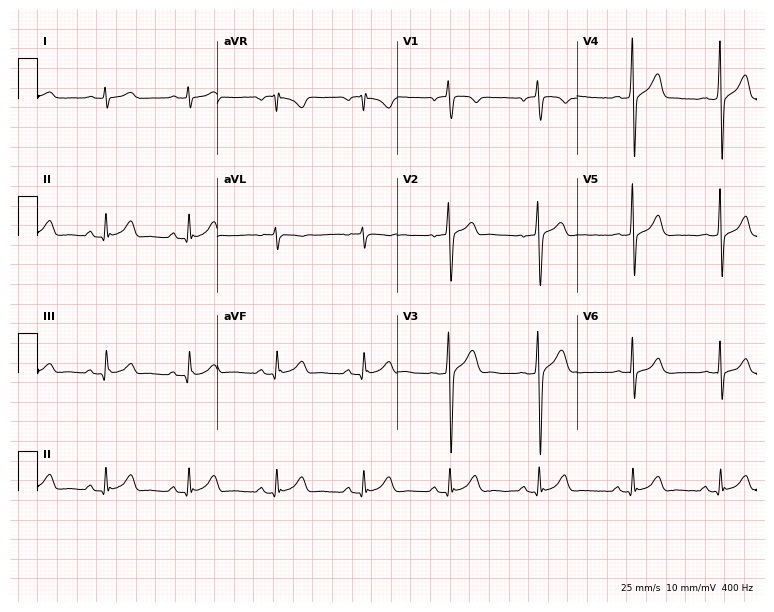
Standard 12-lead ECG recorded from a 29-year-old male patient (7.3-second recording at 400 Hz). None of these six findings is recorded: first-degree AV block, right bundle branch block (RBBB), left bundle branch block (LBBB), sinus bradycardia, atrial fibrillation (AF), sinus tachycardia.